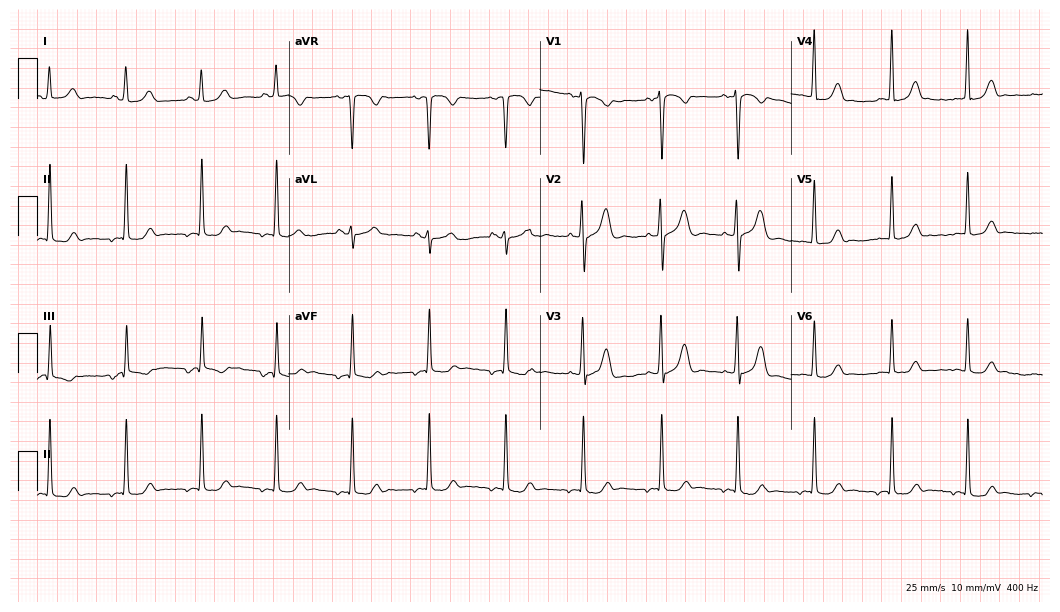
Resting 12-lead electrocardiogram (10.2-second recording at 400 Hz). Patient: a woman, 25 years old. Read as a normal ECG.